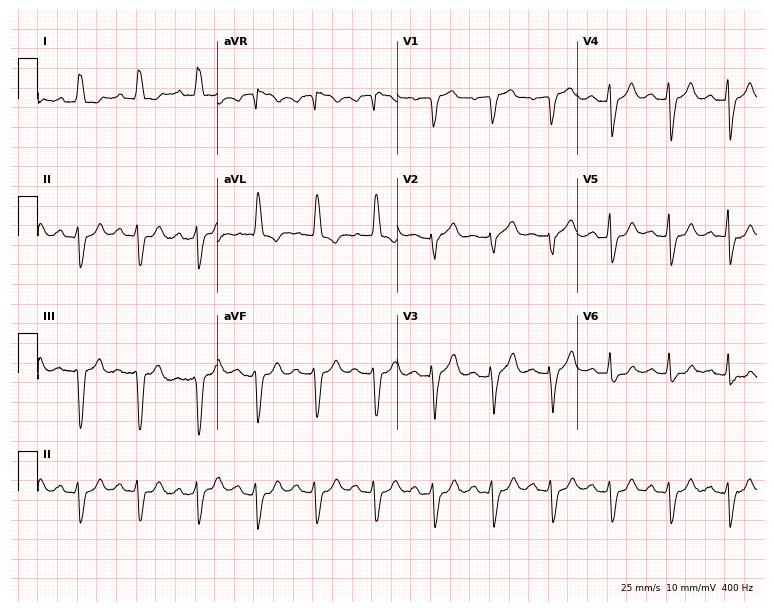
Standard 12-lead ECG recorded from a 70-year-old male (7.3-second recording at 400 Hz). None of these six findings is recorded: first-degree AV block, right bundle branch block (RBBB), left bundle branch block (LBBB), sinus bradycardia, atrial fibrillation (AF), sinus tachycardia.